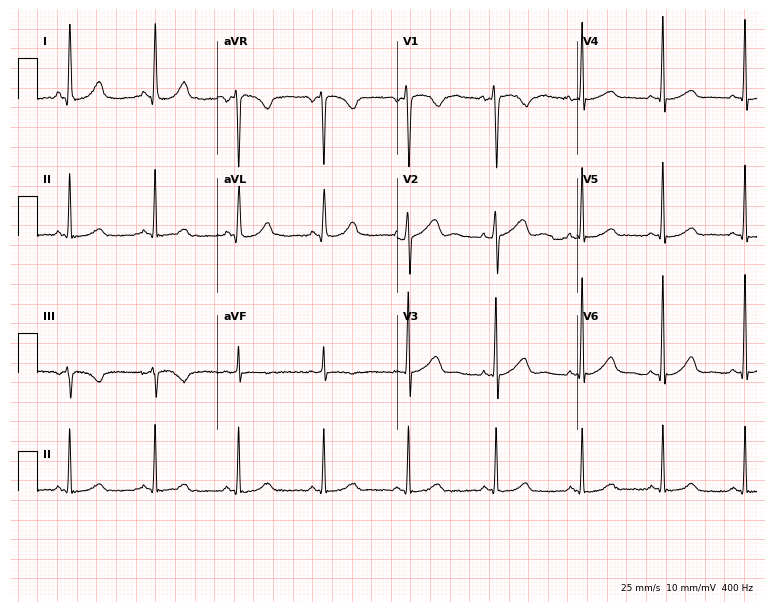
12-lead ECG from a woman, 25 years old. No first-degree AV block, right bundle branch block (RBBB), left bundle branch block (LBBB), sinus bradycardia, atrial fibrillation (AF) or sinus tachycardia recorded for this tracing. Only these six findings were labelled.